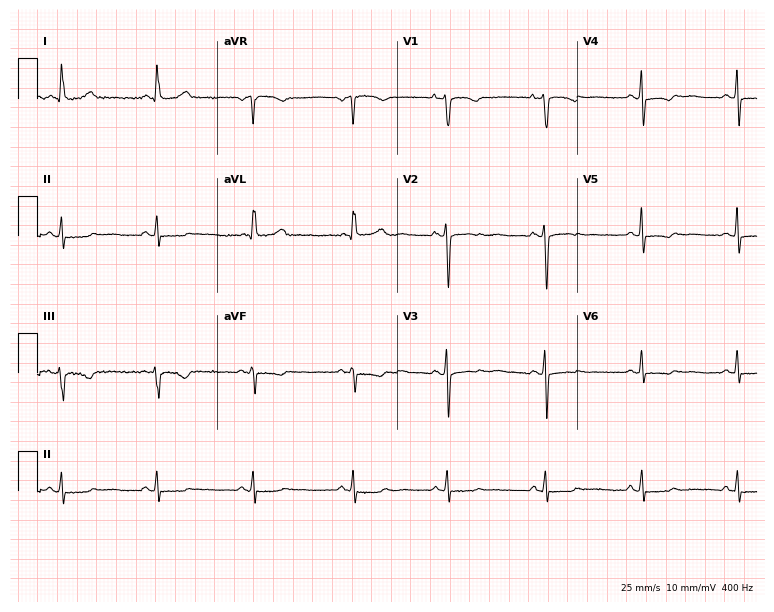
12-lead ECG from a female, 68 years old. Screened for six findings — first-degree AV block, right bundle branch block (RBBB), left bundle branch block (LBBB), sinus bradycardia, atrial fibrillation (AF), sinus tachycardia — none is recorded. Only these six findings were labelled.